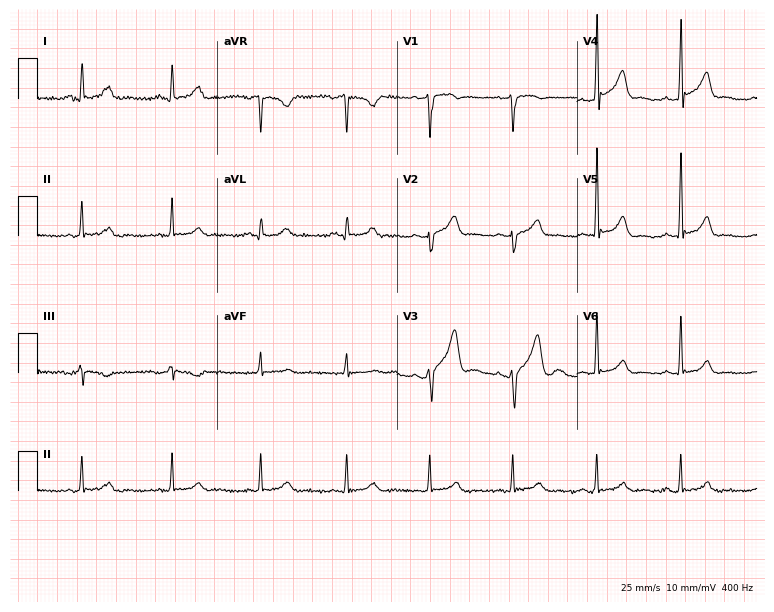
Resting 12-lead electrocardiogram. Patient: a 50-year-old man. Read as a normal ECG.